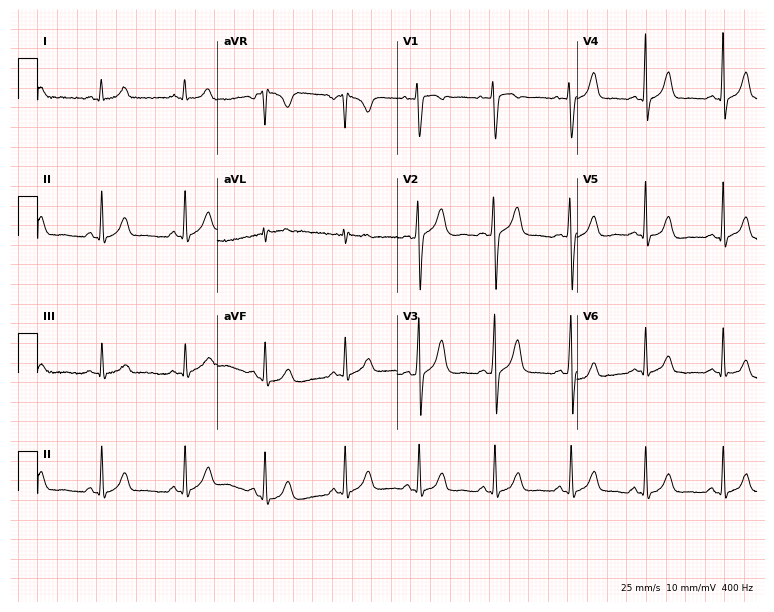
Standard 12-lead ECG recorded from a woman, 30 years old (7.3-second recording at 400 Hz). Read as a normal ECG.